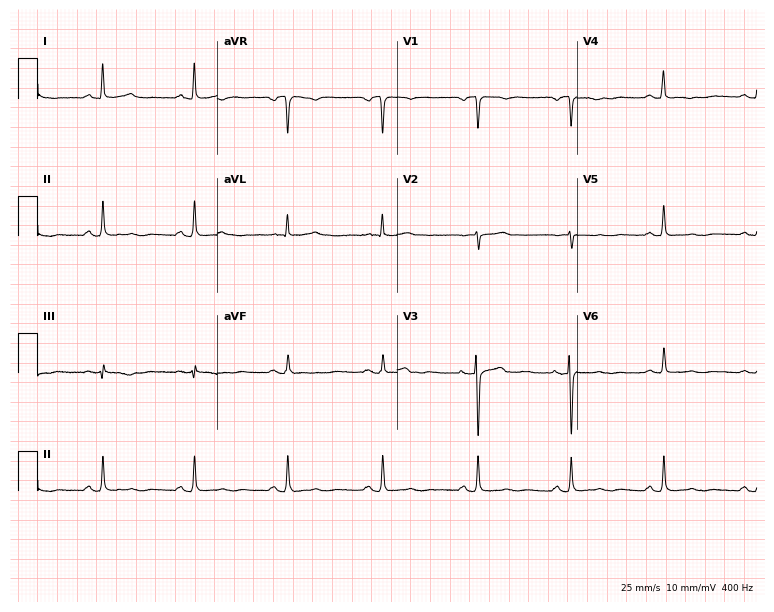
12-lead ECG from a female, 54 years old. Recorded interpretation: within normal limits.